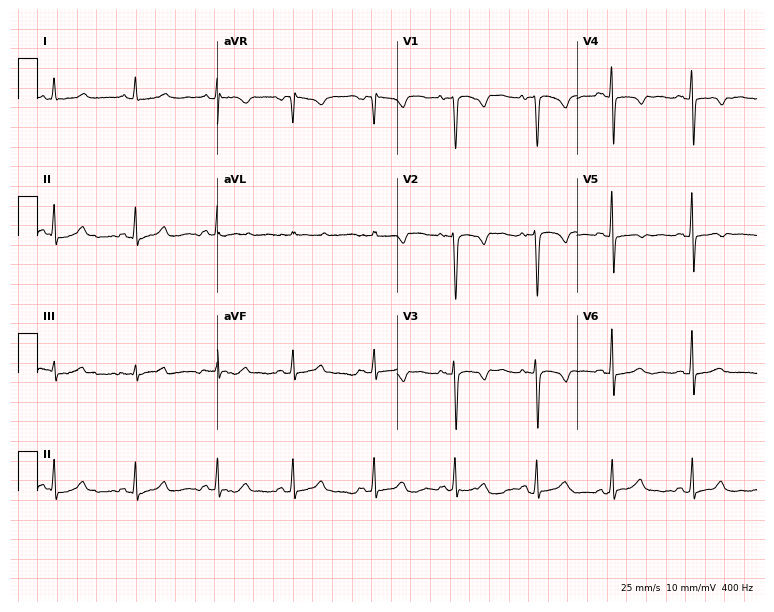
ECG — a 21-year-old female. Screened for six findings — first-degree AV block, right bundle branch block, left bundle branch block, sinus bradycardia, atrial fibrillation, sinus tachycardia — none is recorded. Findings outside these six are not listed.